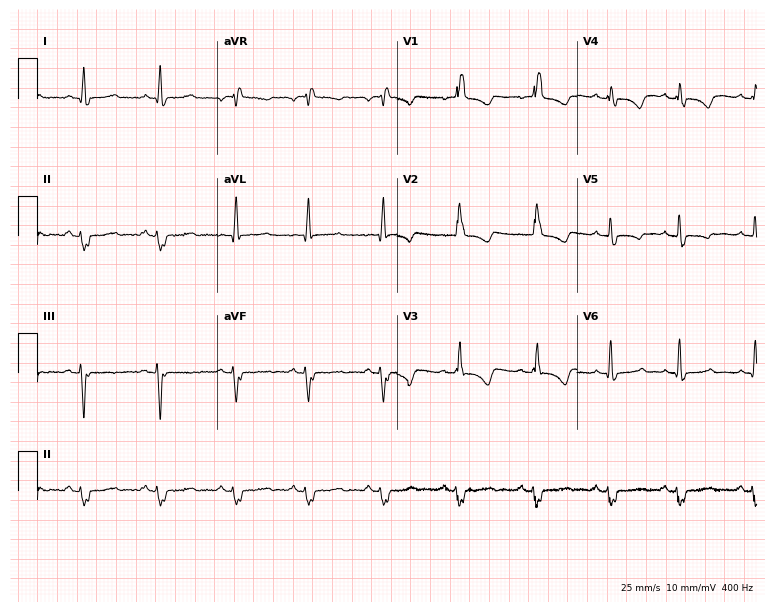
Electrocardiogram (7.3-second recording at 400 Hz), a 57-year-old woman. Interpretation includes right bundle branch block (RBBB).